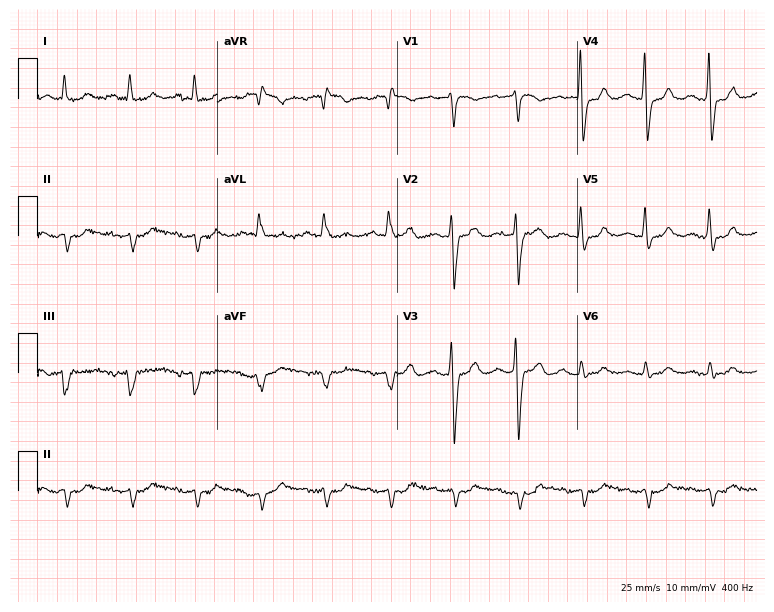
12-lead ECG from a 71-year-old male. No first-degree AV block, right bundle branch block (RBBB), left bundle branch block (LBBB), sinus bradycardia, atrial fibrillation (AF) or sinus tachycardia recorded for this tracing. Other findings, if any, are not listed.